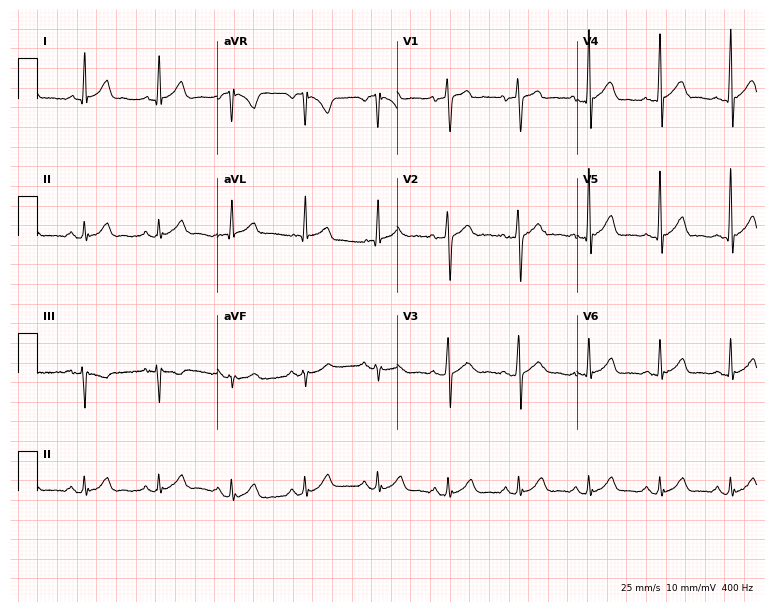
Standard 12-lead ECG recorded from a male, 36 years old. Read as a normal ECG.